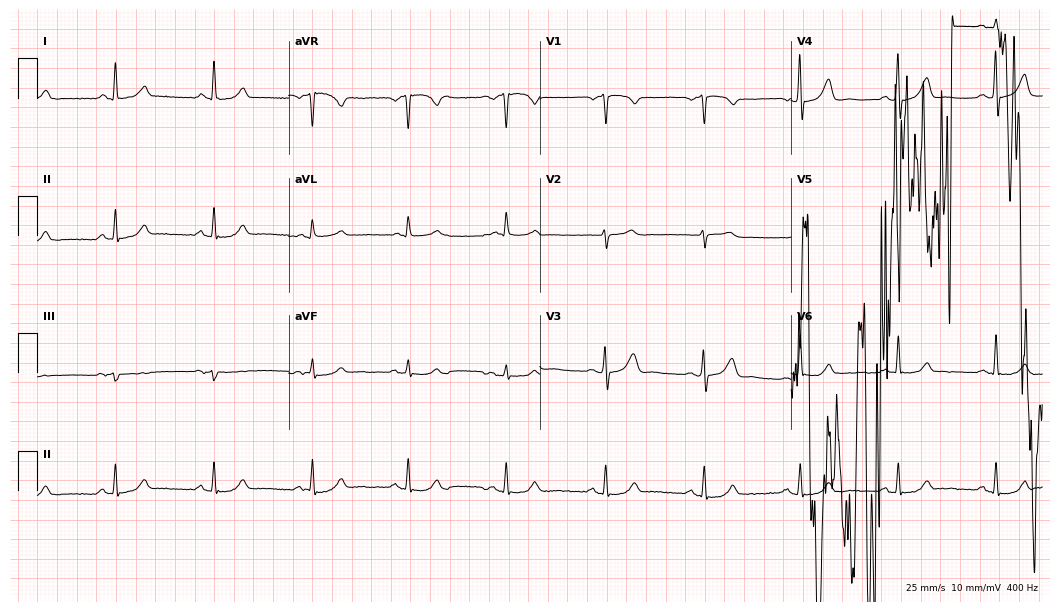
Resting 12-lead electrocardiogram (10.2-second recording at 400 Hz). Patient: a woman, 47 years old. None of these six findings is recorded: first-degree AV block, right bundle branch block, left bundle branch block, sinus bradycardia, atrial fibrillation, sinus tachycardia.